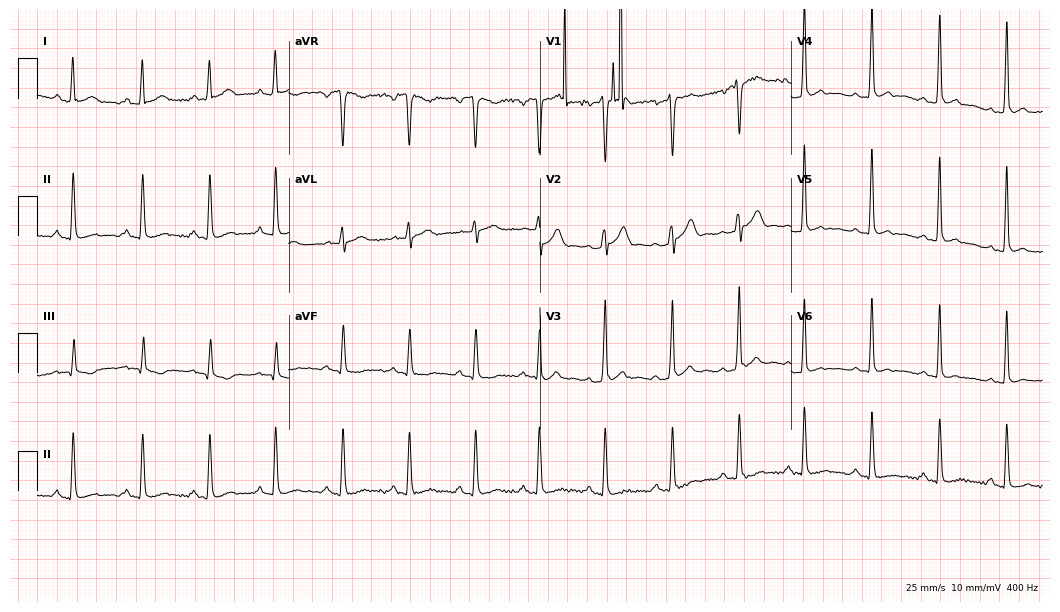
12-lead ECG from a 35-year-old man. Screened for six findings — first-degree AV block, right bundle branch block, left bundle branch block, sinus bradycardia, atrial fibrillation, sinus tachycardia — none is recorded.